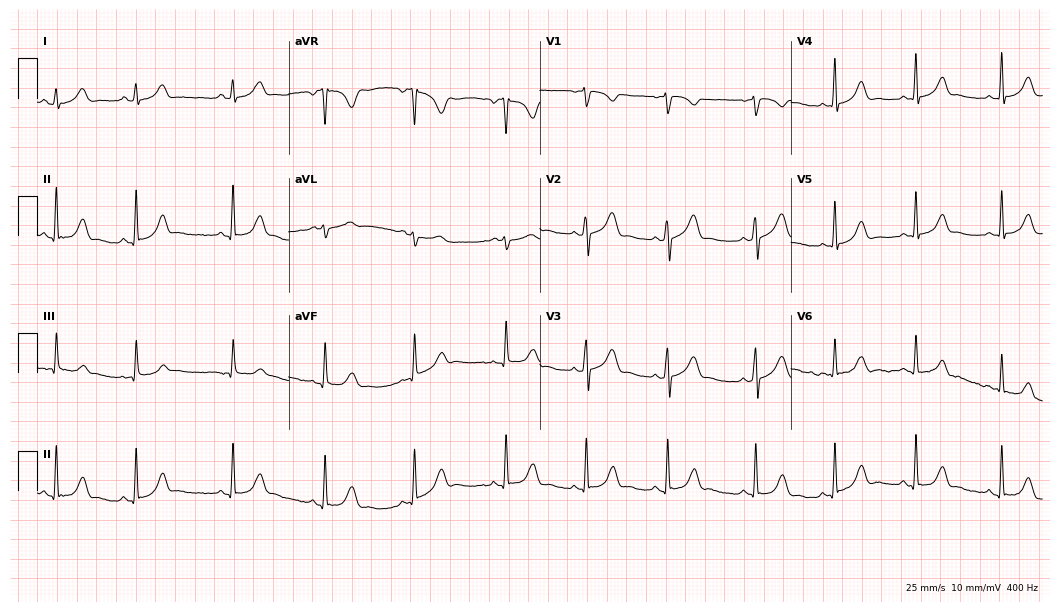
Resting 12-lead electrocardiogram (10.2-second recording at 400 Hz). Patient: a female, 19 years old. Read as a normal ECG.